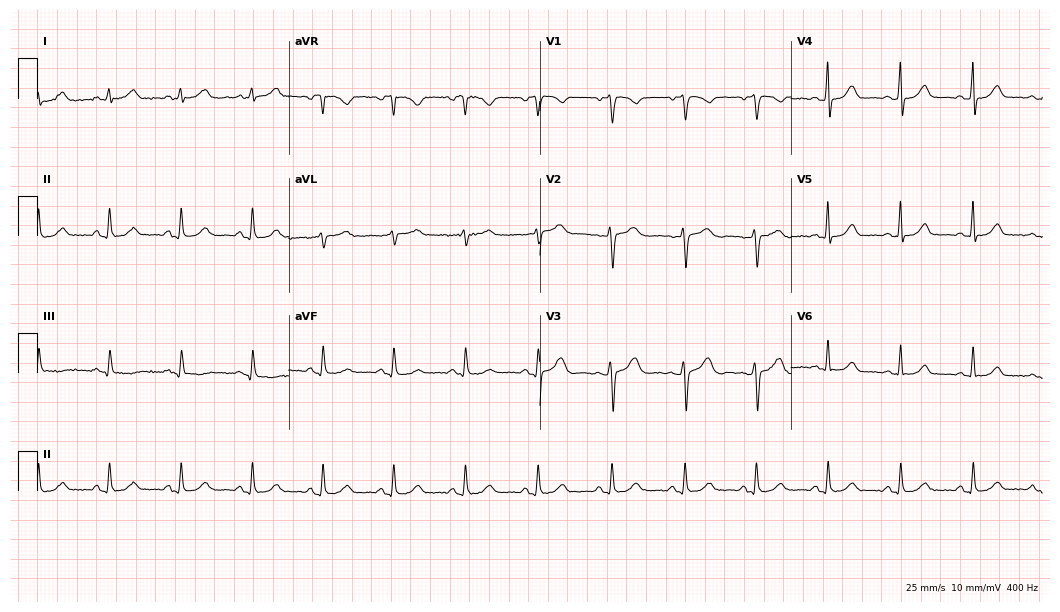
12-lead ECG from a female patient, 50 years old. Labelled as a normal ECG.